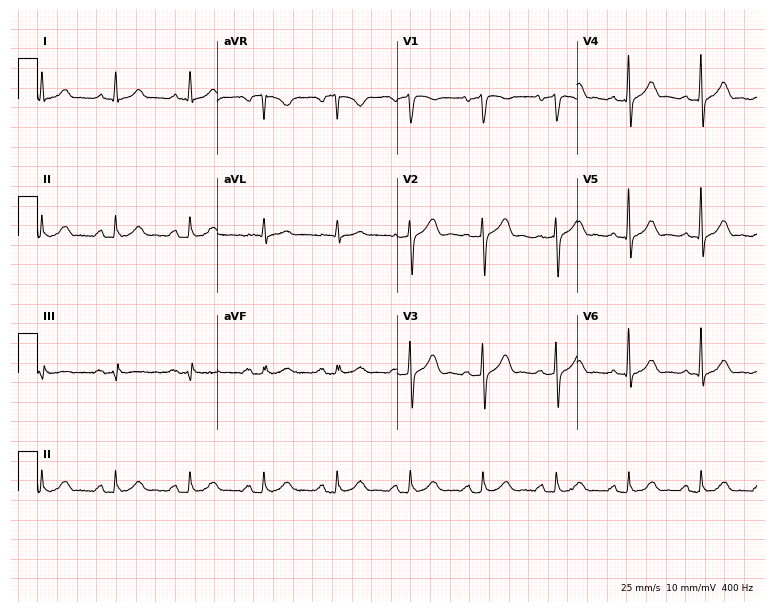
ECG (7.3-second recording at 400 Hz) — a 59-year-old male patient. Labelled as a normal ECG.